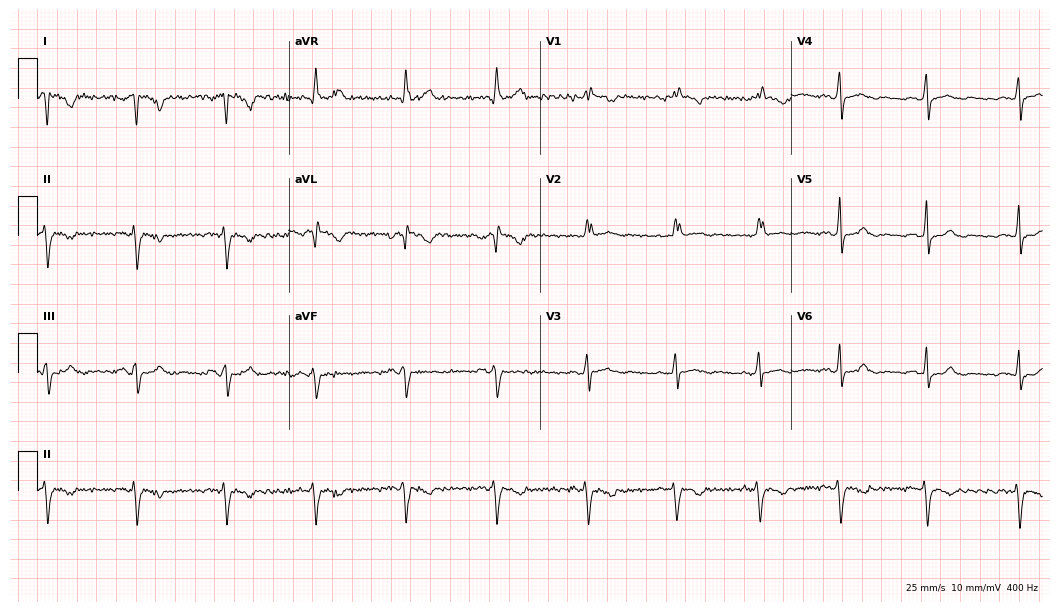
Standard 12-lead ECG recorded from a 43-year-old female. None of these six findings is recorded: first-degree AV block, right bundle branch block, left bundle branch block, sinus bradycardia, atrial fibrillation, sinus tachycardia. Other findings, if any, are not listed.